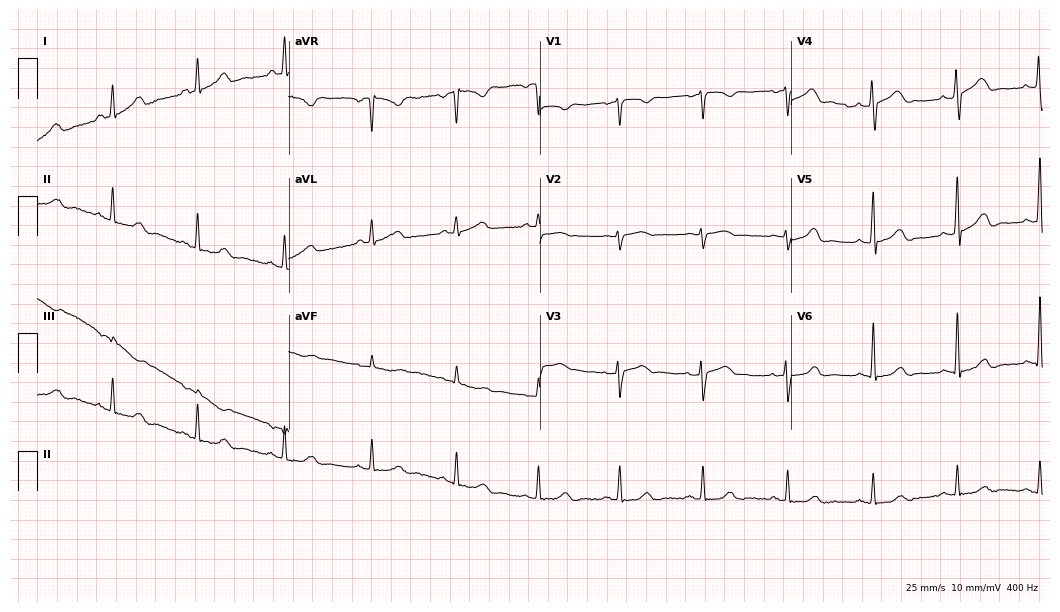
Resting 12-lead electrocardiogram (10.2-second recording at 400 Hz). Patient: a woman, 55 years old. Read as a normal ECG.